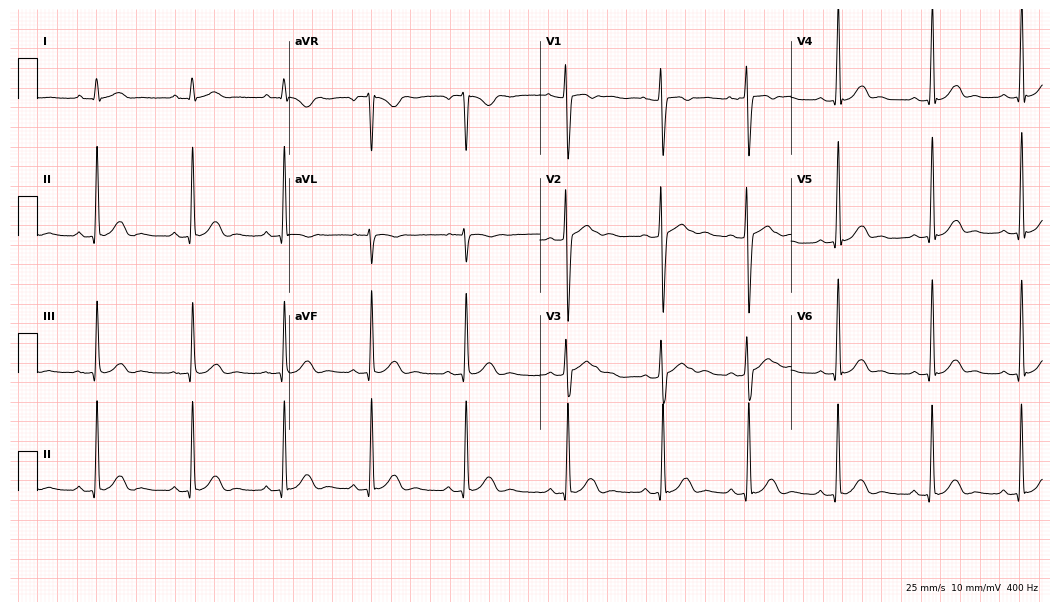
ECG (10.2-second recording at 400 Hz) — a female, 24 years old. Labelled as a normal ECG.